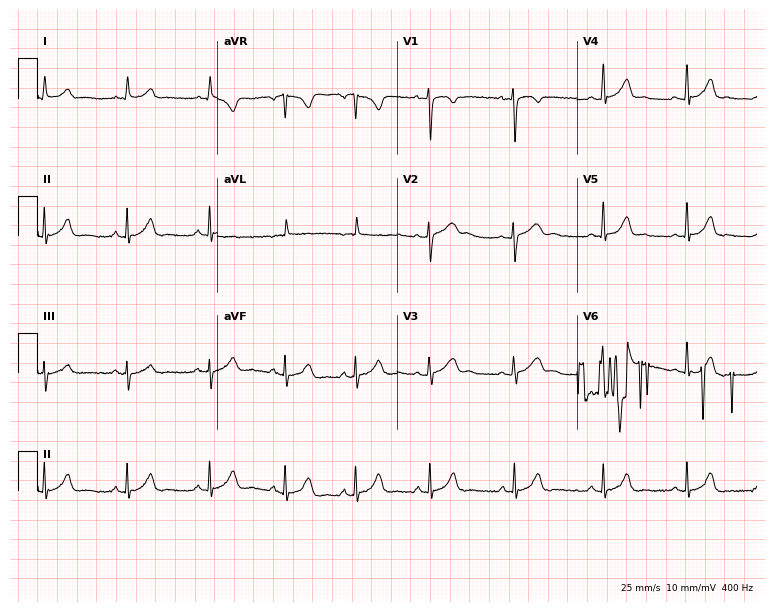
12-lead ECG from a female, 21 years old. No first-degree AV block, right bundle branch block, left bundle branch block, sinus bradycardia, atrial fibrillation or sinus tachycardia recorded for this tracing.